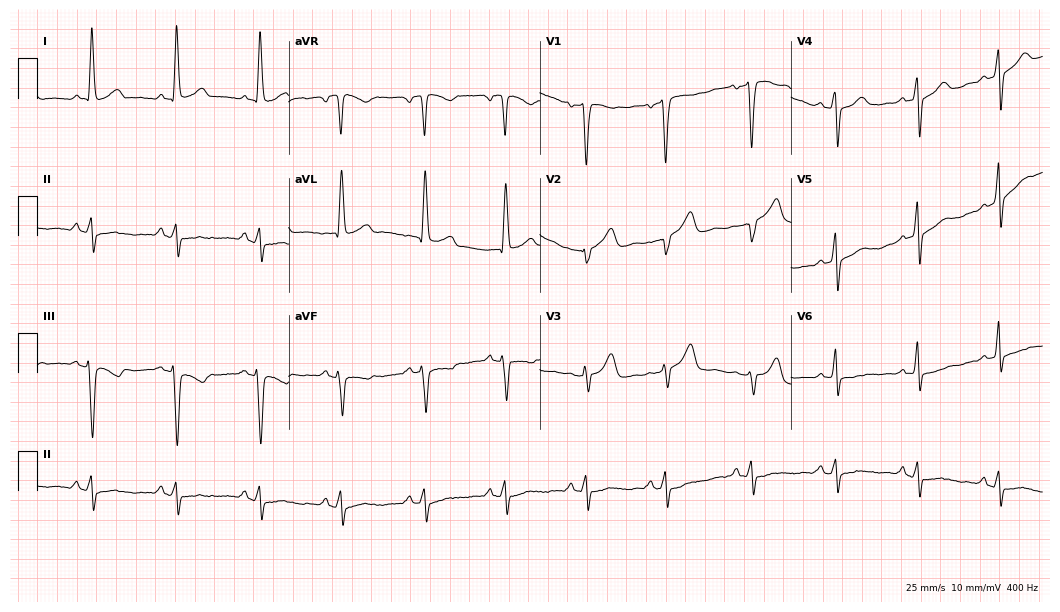
ECG — a woman, 59 years old. Screened for six findings — first-degree AV block, right bundle branch block, left bundle branch block, sinus bradycardia, atrial fibrillation, sinus tachycardia — none is recorded. Findings outside these six are not listed.